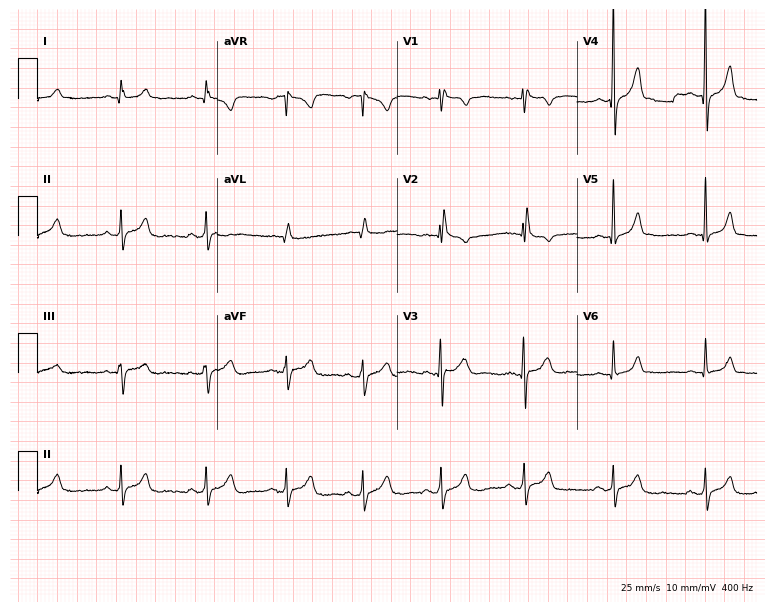
ECG (7.3-second recording at 400 Hz) — a male, 20 years old. Screened for six findings — first-degree AV block, right bundle branch block, left bundle branch block, sinus bradycardia, atrial fibrillation, sinus tachycardia — none is recorded.